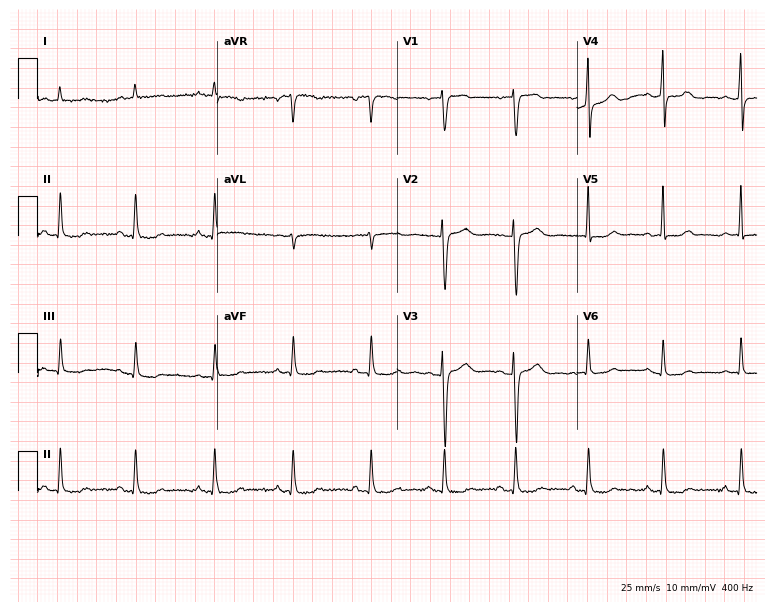
Standard 12-lead ECG recorded from a woman, 47 years old. Read as a normal ECG.